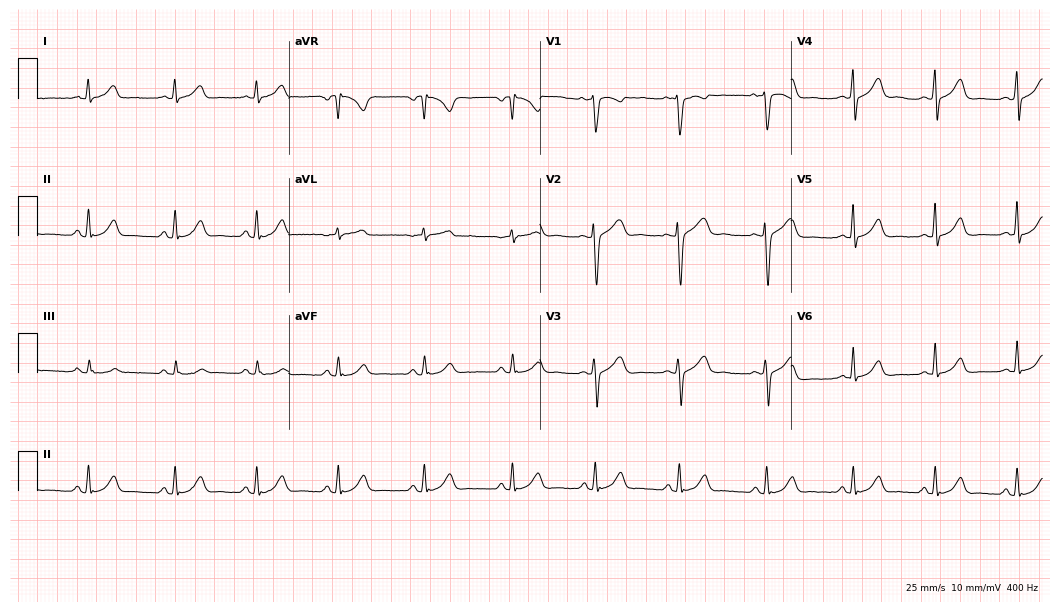
Resting 12-lead electrocardiogram. Patient: a 31-year-old female. Read as a normal ECG.